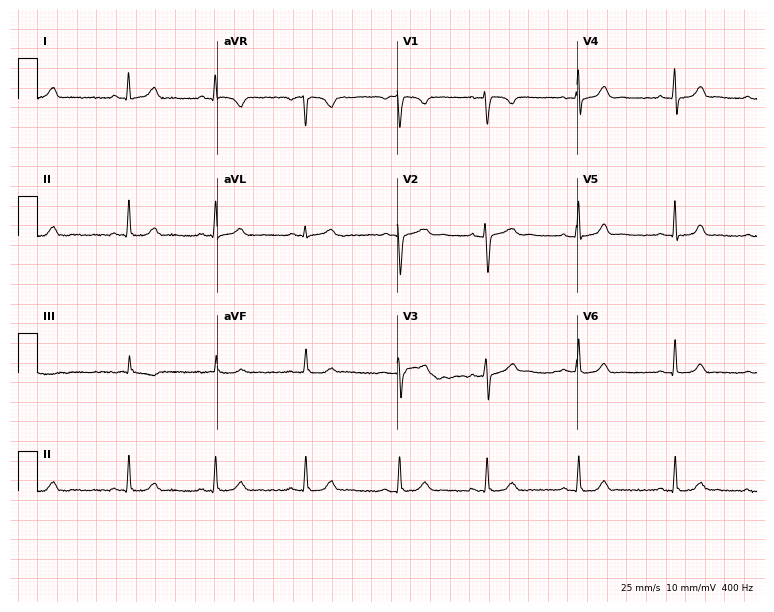
ECG — a female patient, 23 years old. Labelled as a normal ECG.